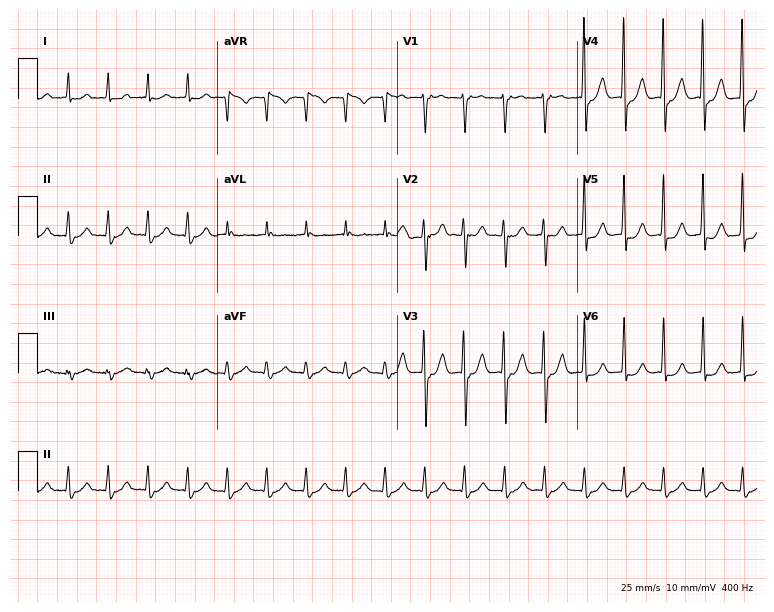
12-lead ECG from a man, 64 years old. Screened for six findings — first-degree AV block, right bundle branch block (RBBB), left bundle branch block (LBBB), sinus bradycardia, atrial fibrillation (AF), sinus tachycardia — none is recorded.